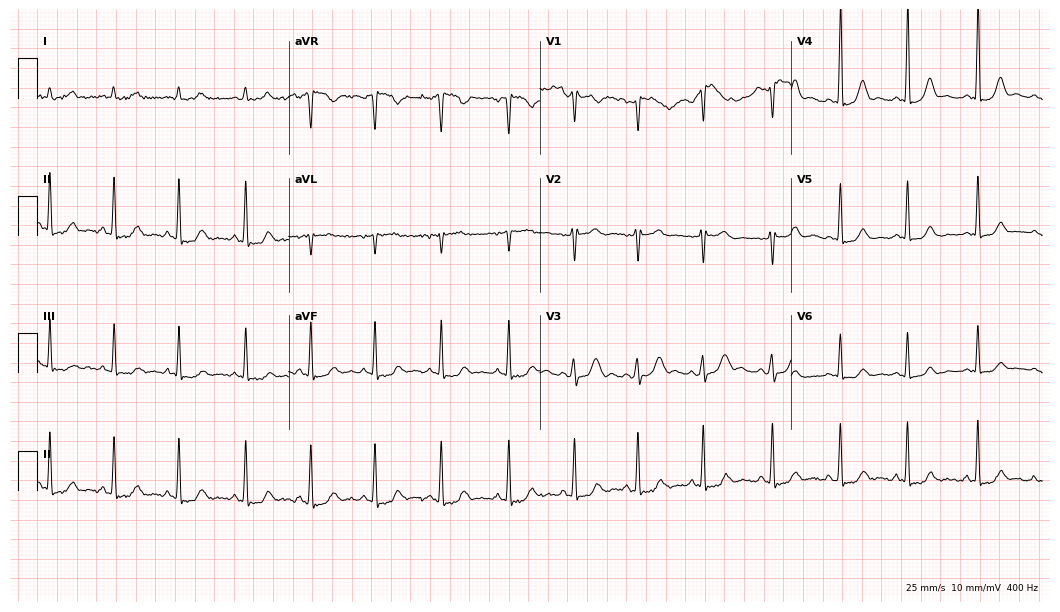
Resting 12-lead electrocardiogram. Patient: a 34-year-old female. None of these six findings is recorded: first-degree AV block, right bundle branch block, left bundle branch block, sinus bradycardia, atrial fibrillation, sinus tachycardia.